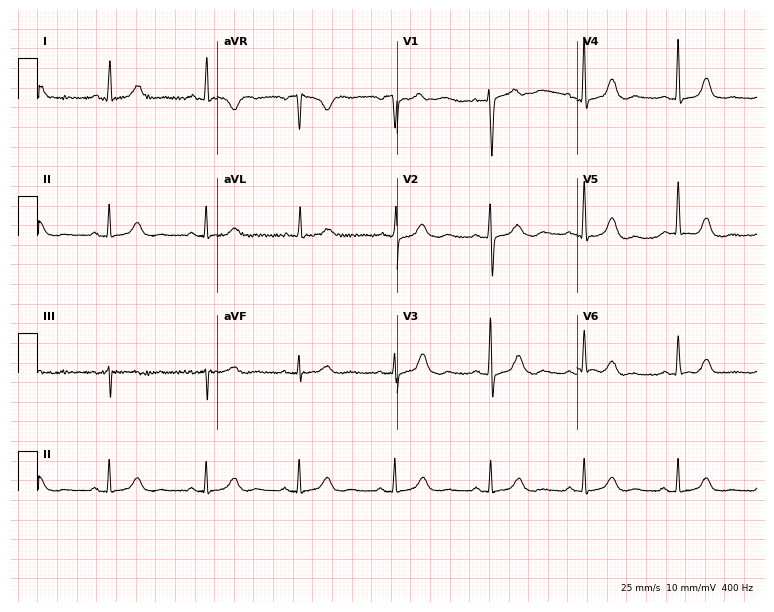
12-lead ECG from a 67-year-old female. Labelled as a normal ECG.